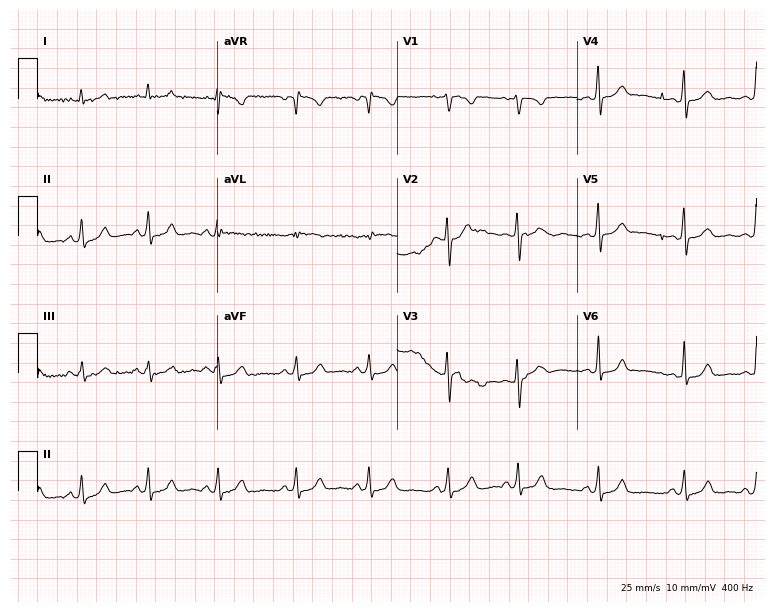
12-lead ECG from a 21-year-old woman (7.3-second recording at 400 Hz). No first-degree AV block, right bundle branch block (RBBB), left bundle branch block (LBBB), sinus bradycardia, atrial fibrillation (AF) or sinus tachycardia recorded for this tracing. Other findings, if any, are not listed.